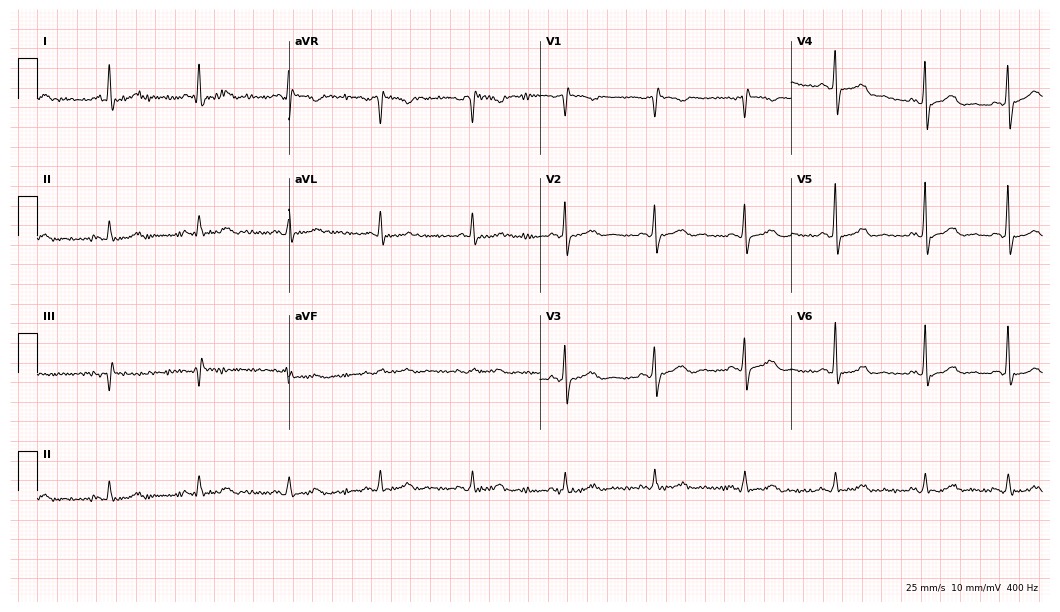
Standard 12-lead ECG recorded from a 76-year-old female patient. None of these six findings is recorded: first-degree AV block, right bundle branch block, left bundle branch block, sinus bradycardia, atrial fibrillation, sinus tachycardia.